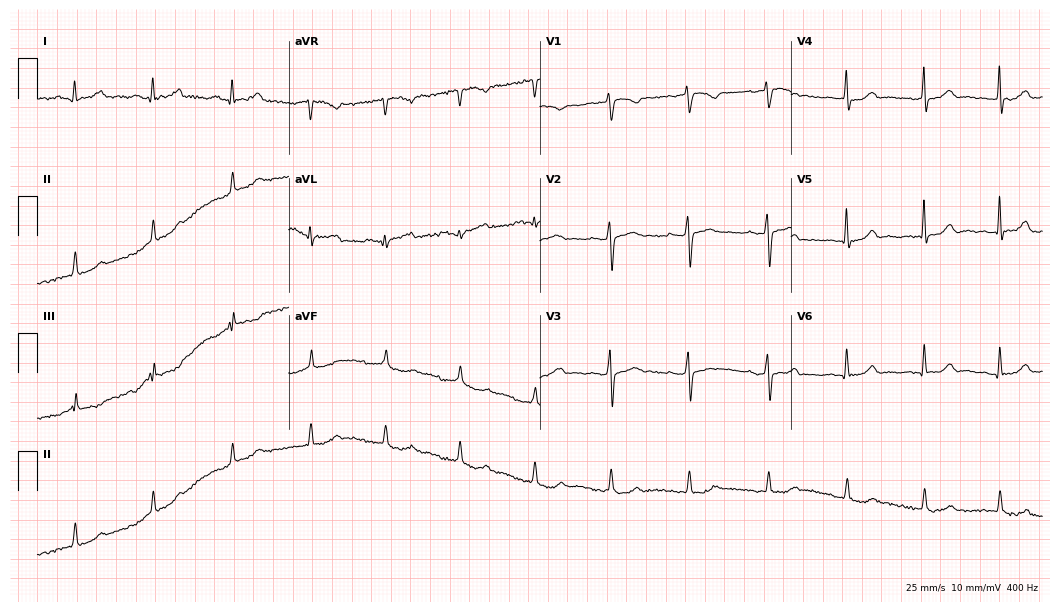
ECG (10.2-second recording at 400 Hz) — a woman, 54 years old. Screened for six findings — first-degree AV block, right bundle branch block (RBBB), left bundle branch block (LBBB), sinus bradycardia, atrial fibrillation (AF), sinus tachycardia — none is recorded. Other findings, if any, are not listed.